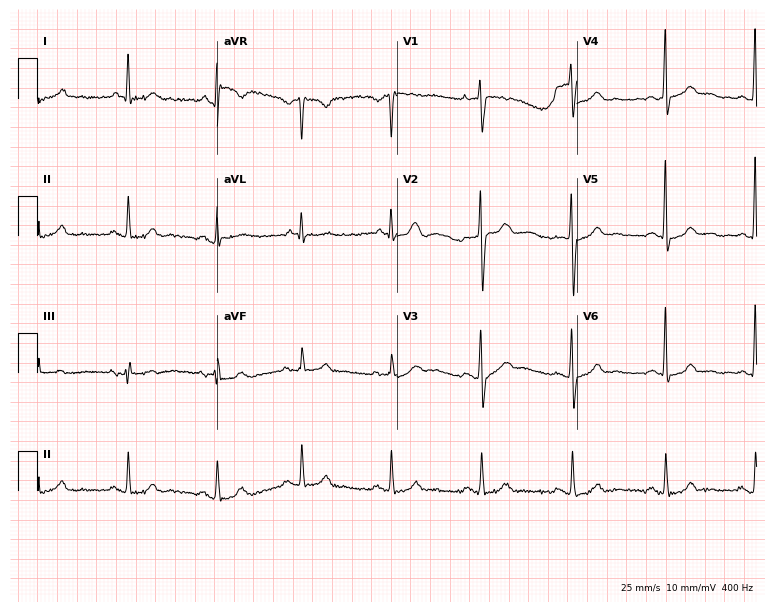
ECG — a female, 43 years old. Screened for six findings — first-degree AV block, right bundle branch block (RBBB), left bundle branch block (LBBB), sinus bradycardia, atrial fibrillation (AF), sinus tachycardia — none is recorded.